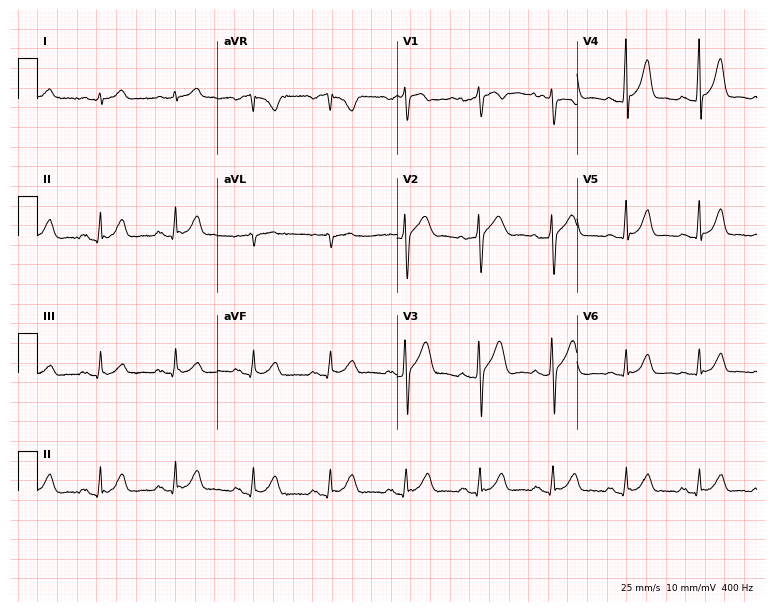
Resting 12-lead electrocardiogram (7.3-second recording at 400 Hz). Patient: a 46-year-old man. Read as a normal ECG.